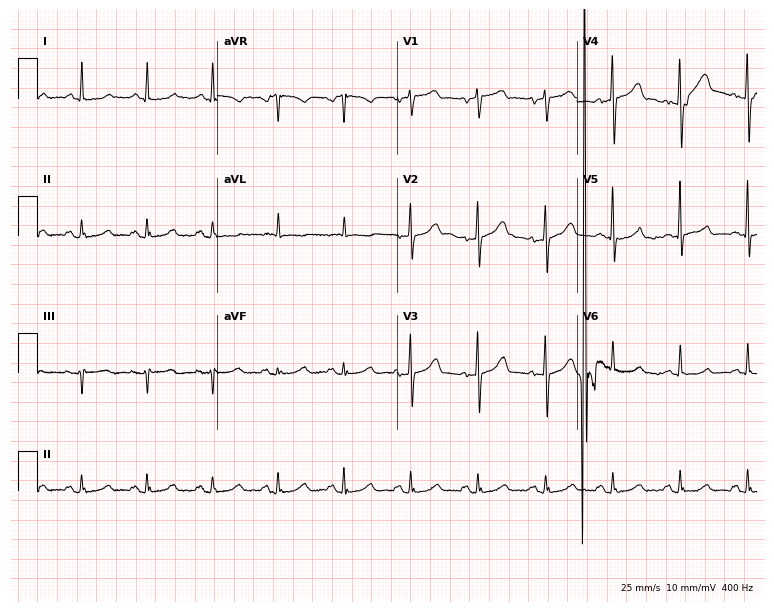
12-lead ECG from a woman, 59 years old (7.3-second recording at 400 Hz). Recorded interpretation: within normal limits.